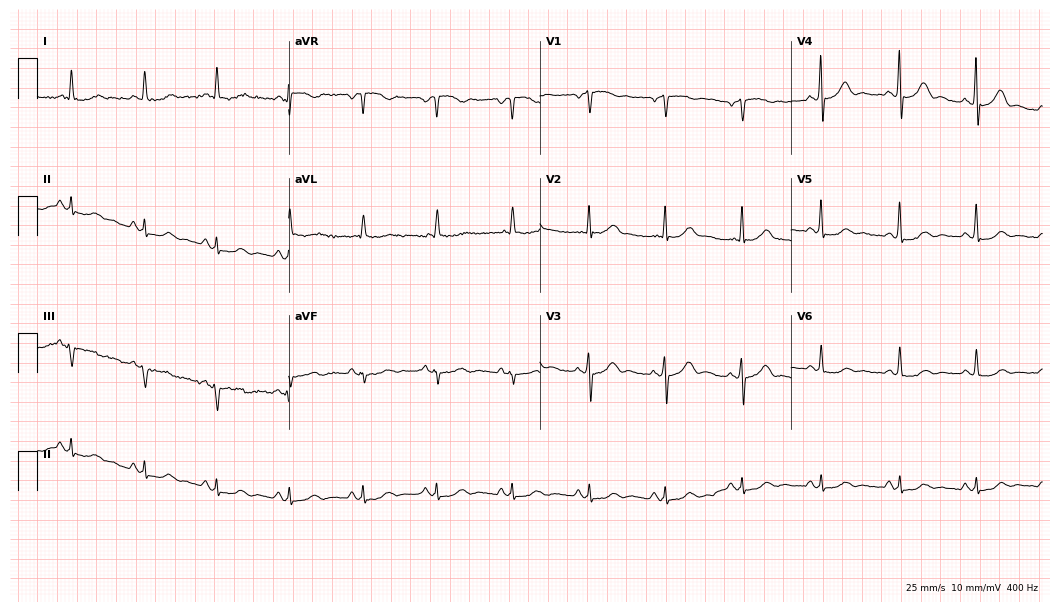
12-lead ECG from a 66-year-old man. Screened for six findings — first-degree AV block, right bundle branch block, left bundle branch block, sinus bradycardia, atrial fibrillation, sinus tachycardia — none is recorded. Findings outside these six are not listed.